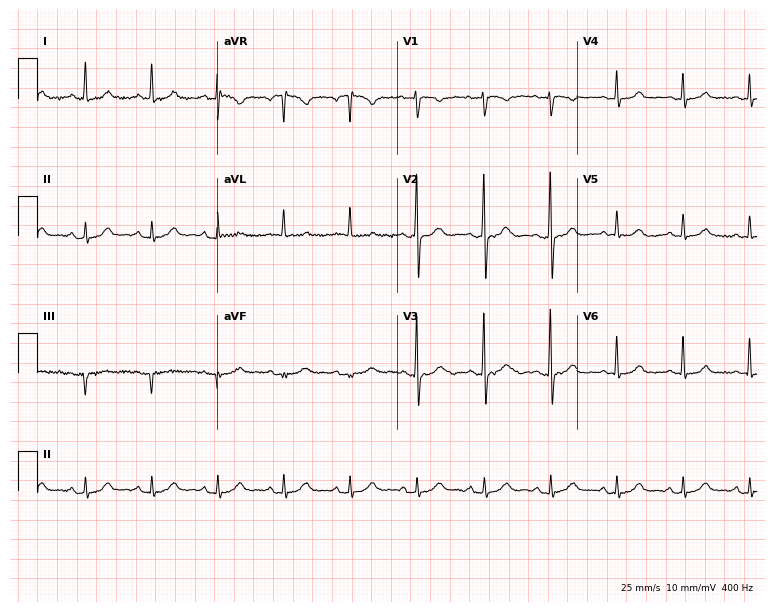
Electrocardiogram (7.3-second recording at 400 Hz), a female patient, 53 years old. Overall reading on record: normal ECG.